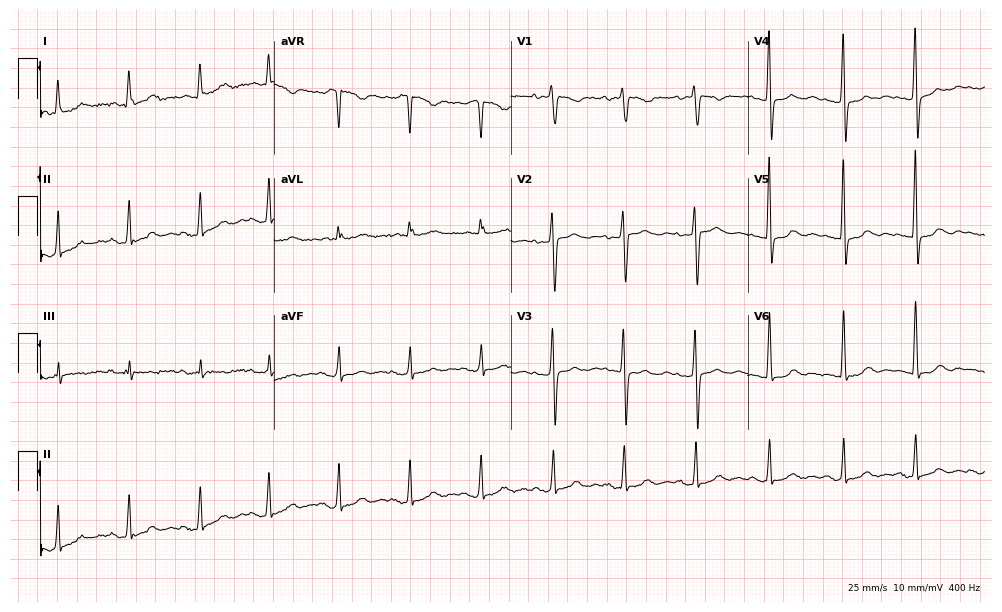
Standard 12-lead ECG recorded from a female, 79 years old (9.7-second recording at 400 Hz). None of these six findings is recorded: first-degree AV block, right bundle branch block, left bundle branch block, sinus bradycardia, atrial fibrillation, sinus tachycardia. Findings outside these six are not listed.